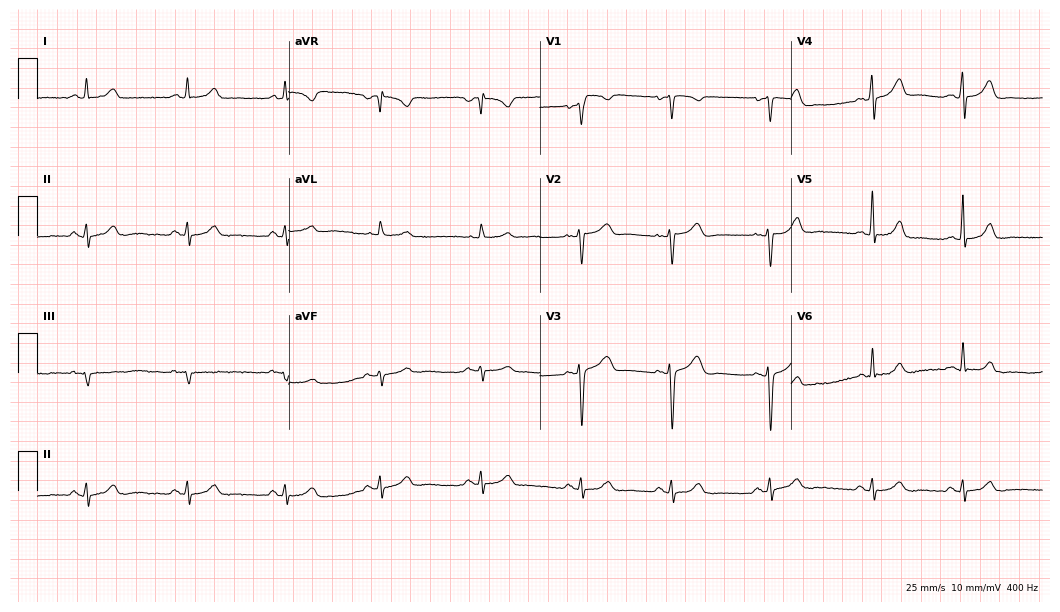
ECG (10.2-second recording at 400 Hz) — a 40-year-old female patient. Labelled as a normal ECG.